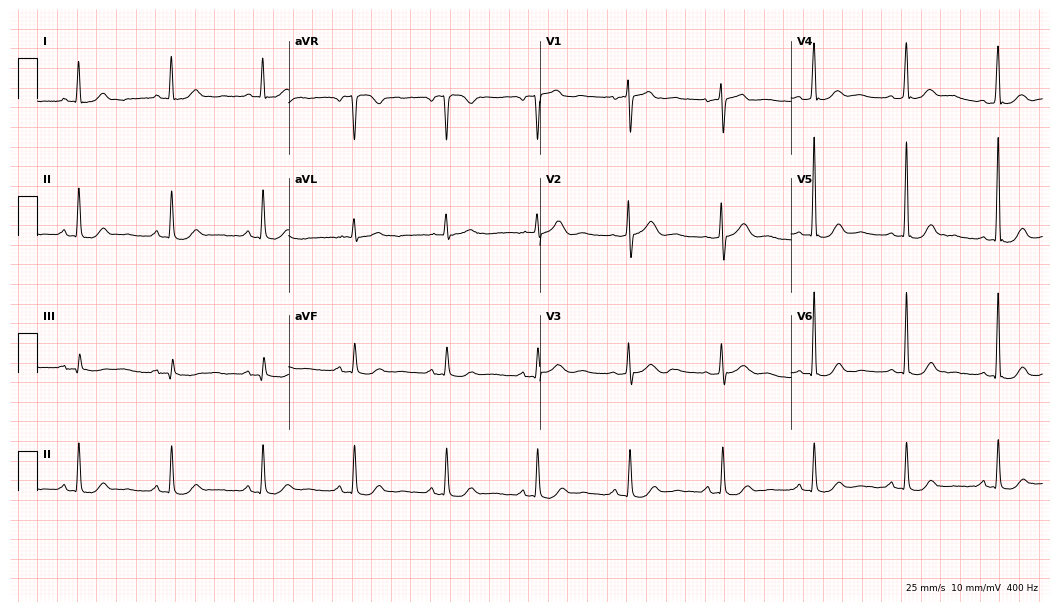
12-lead ECG from a female, 72 years old (10.2-second recording at 400 Hz). No first-degree AV block, right bundle branch block (RBBB), left bundle branch block (LBBB), sinus bradycardia, atrial fibrillation (AF) or sinus tachycardia recorded for this tracing.